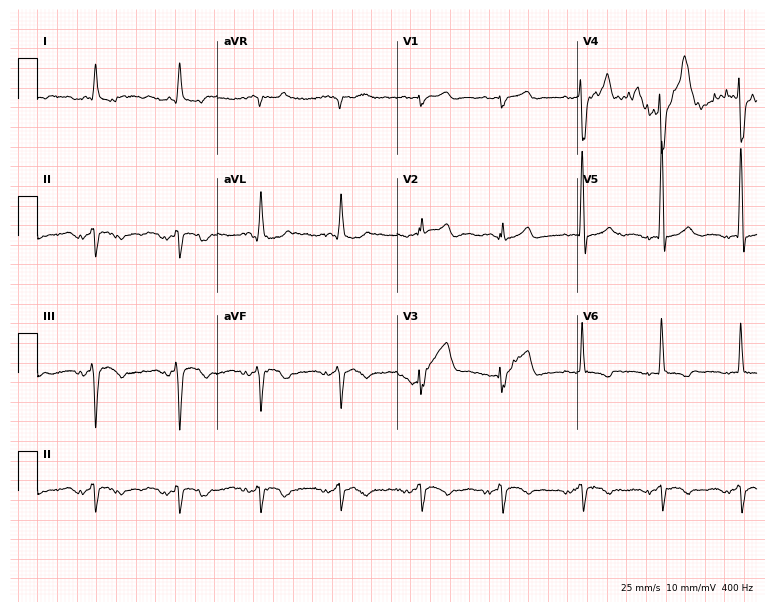
Electrocardiogram, a 74-year-old male. Of the six screened findings (first-degree AV block, right bundle branch block (RBBB), left bundle branch block (LBBB), sinus bradycardia, atrial fibrillation (AF), sinus tachycardia), none is recorded.